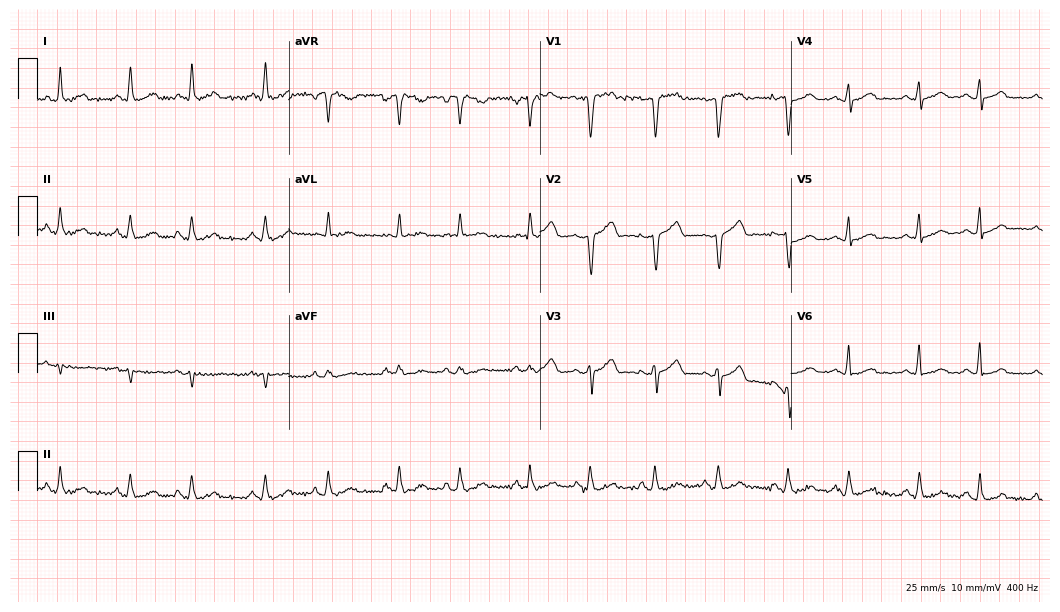
ECG (10.2-second recording at 400 Hz) — a female, 63 years old. Labelled as a normal ECG.